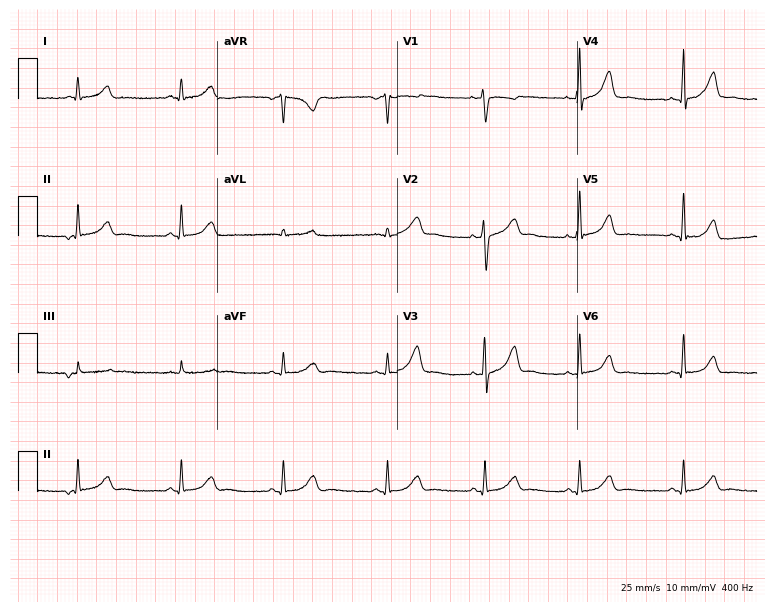
12-lead ECG from a female, 32 years old. No first-degree AV block, right bundle branch block, left bundle branch block, sinus bradycardia, atrial fibrillation or sinus tachycardia recorded for this tracing. Only these six findings were labelled.